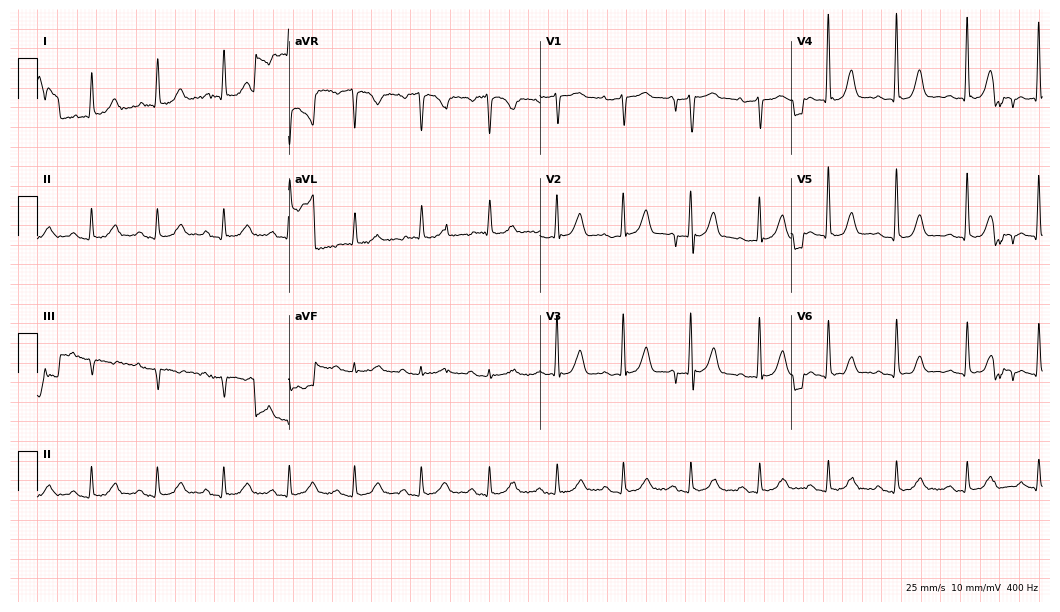
12-lead ECG from an 84-year-old male patient. Screened for six findings — first-degree AV block, right bundle branch block, left bundle branch block, sinus bradycardia, atrial fibrillation, sinus tachycardia — none is recorded. Other findings, if any, are not listed.